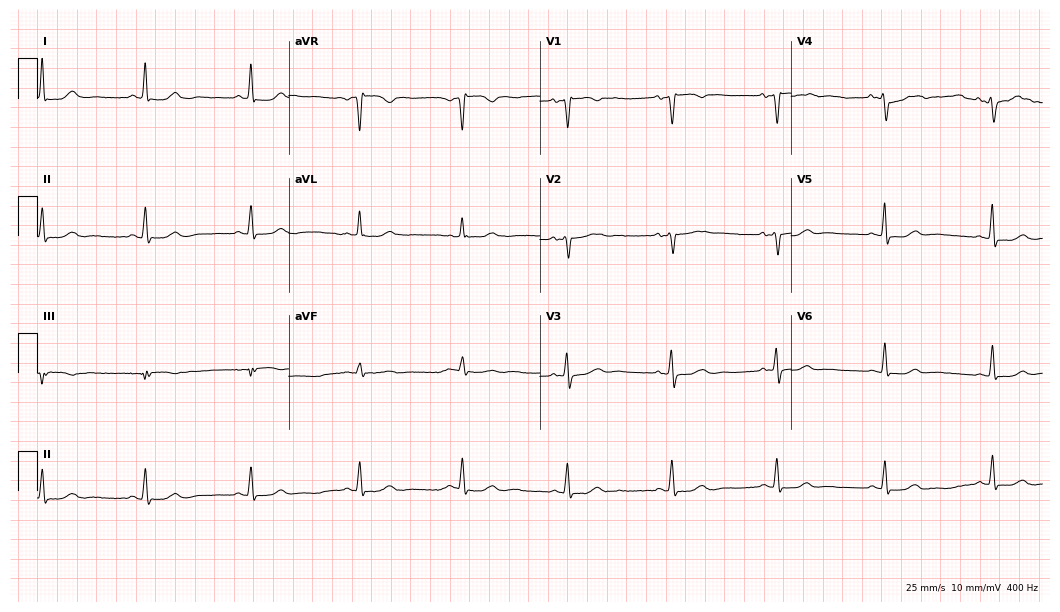
Electrocardiogram (10.2-second recording at 400 Hz), a female, 48 years old. Of the six screened findings (first-degree AV block, right bundle branch block, left bundle branch block, sinus bradycardia, atrial fibrillation, sinus tachycardia), none is recorded. Findings outside these six are not listed.